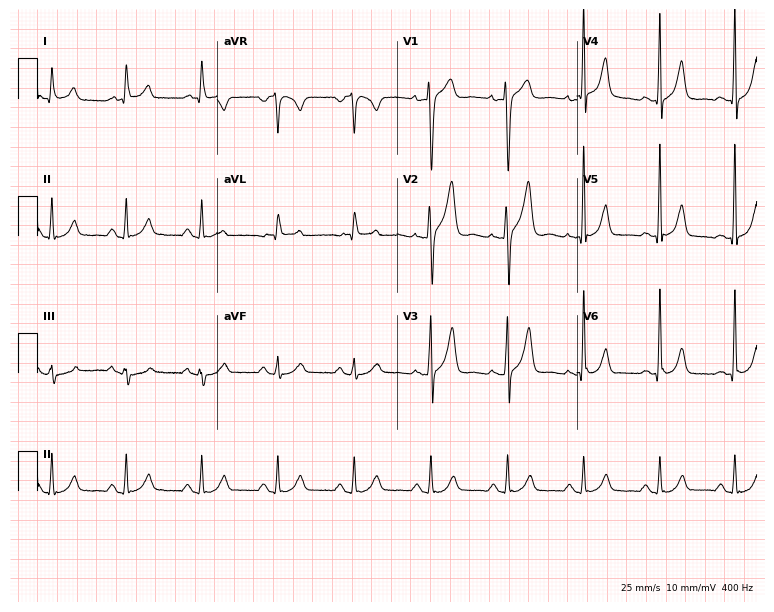
Electrocardiogram (7.3-second recording at 400 Hz), a man, 51 years old. Overall reading on record: normal ECG.